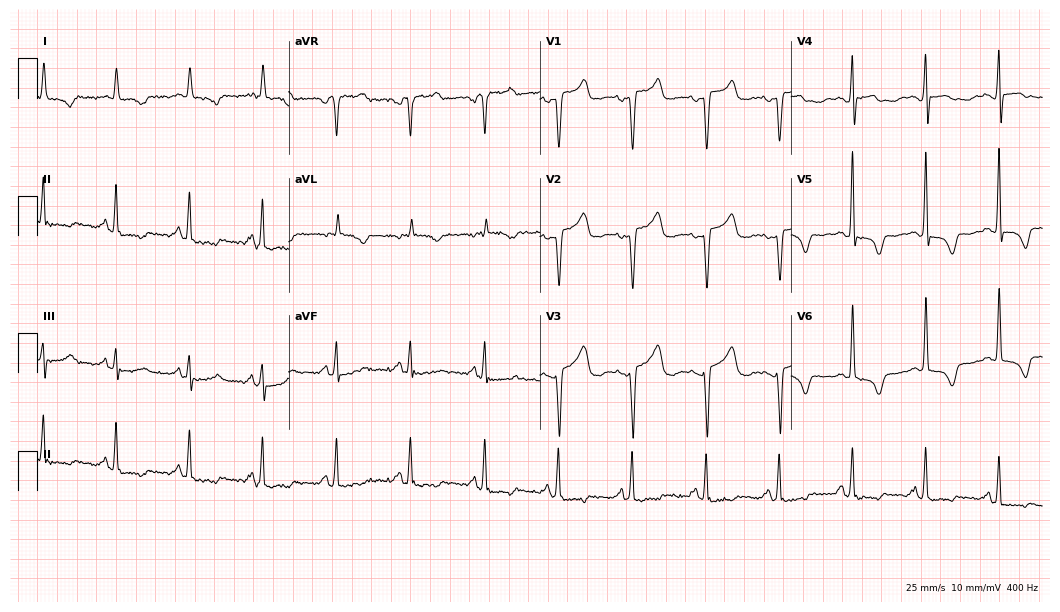
12-lead ECG from a female, 80 years old (10.2-second recording at 400 Hz). No first-degree AV block, right bundle branch block, left bundle branch block, sinus bradycardia, atrial fibrillation or sinus tachycardia recorded for this tracing.